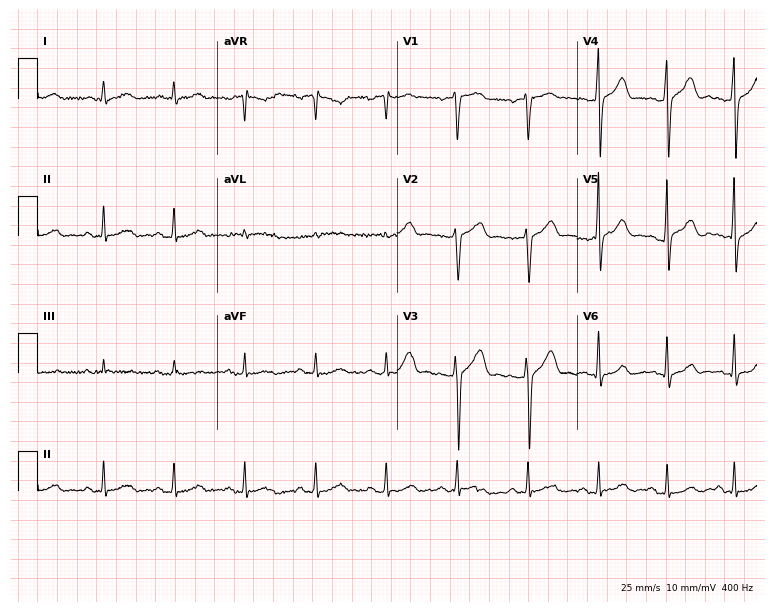
12-lead ECG from a male, 29 years old (7.3-second recording at 400 Hz). Recorded interpretation: within normal limits.